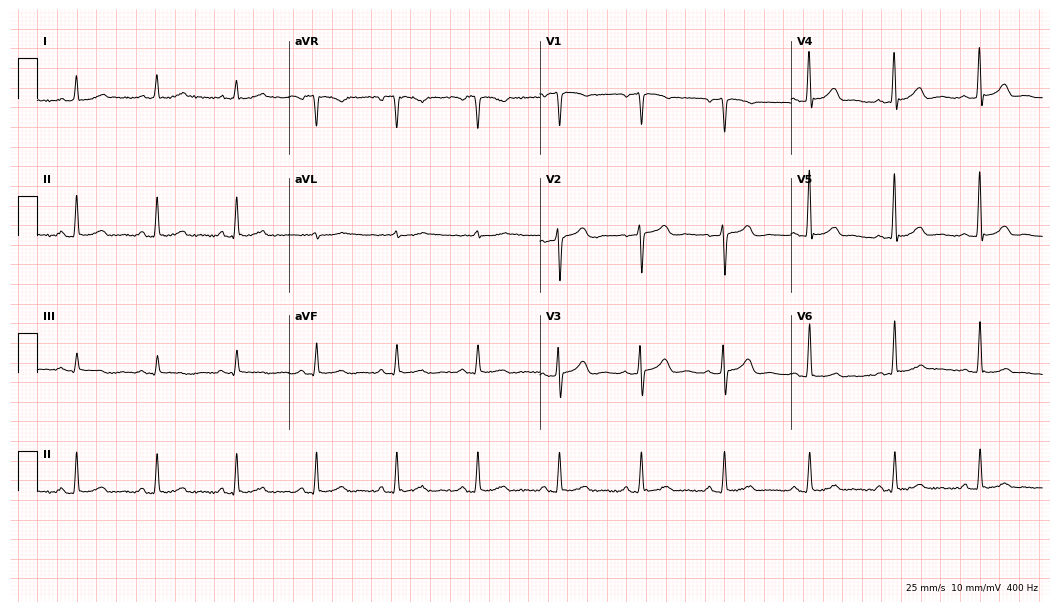
Standard 12-lead ECG recorded from a male patient, 63 years old. Read as a normal ECG.